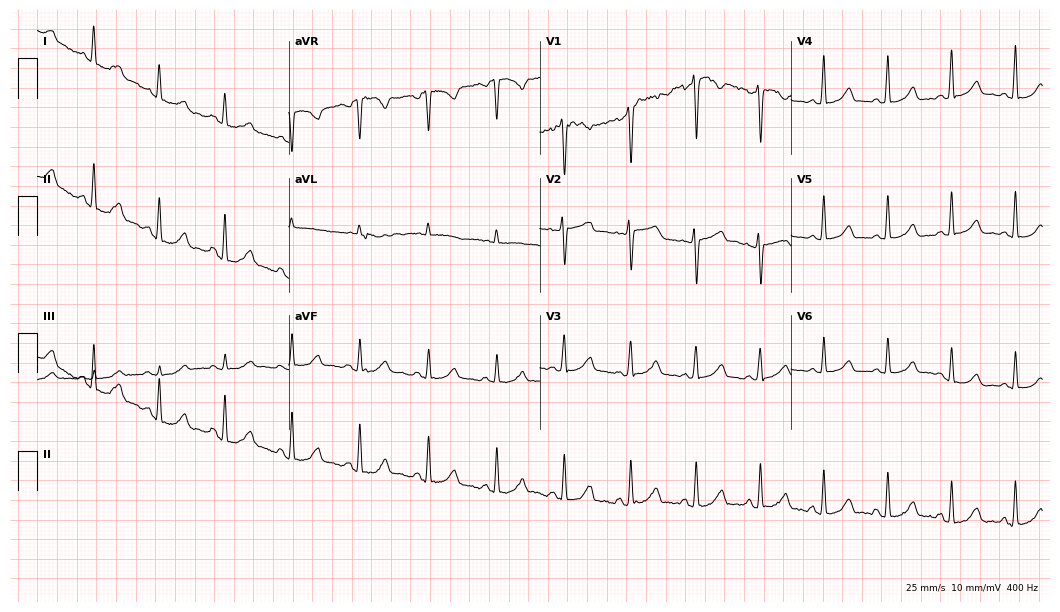
12-lead ECG from a 35-year-old female patient (10.2-second recording at 400 Hz). Recorded interpretation: within normal limits.